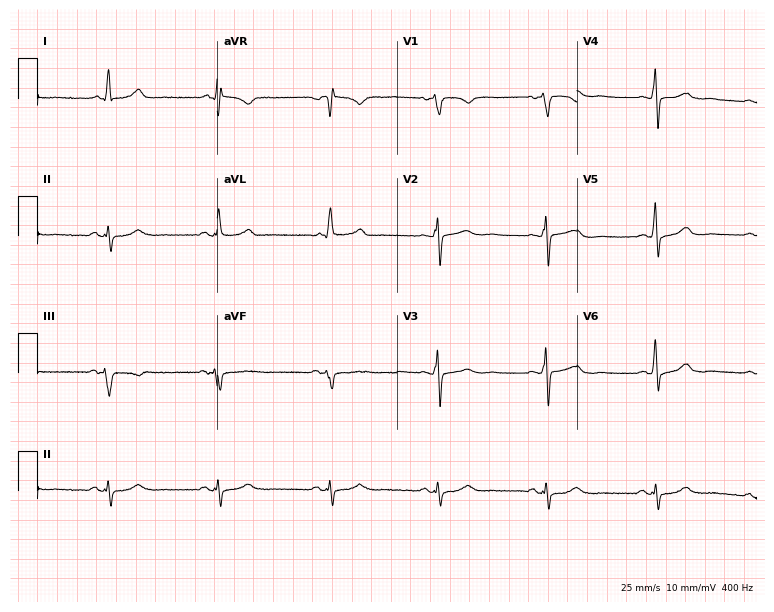
Resting 12-lead electrocardiogram (7.3-second recording at 400 Hz). Patient: a 64-year-old male. Read as a normal ECG.